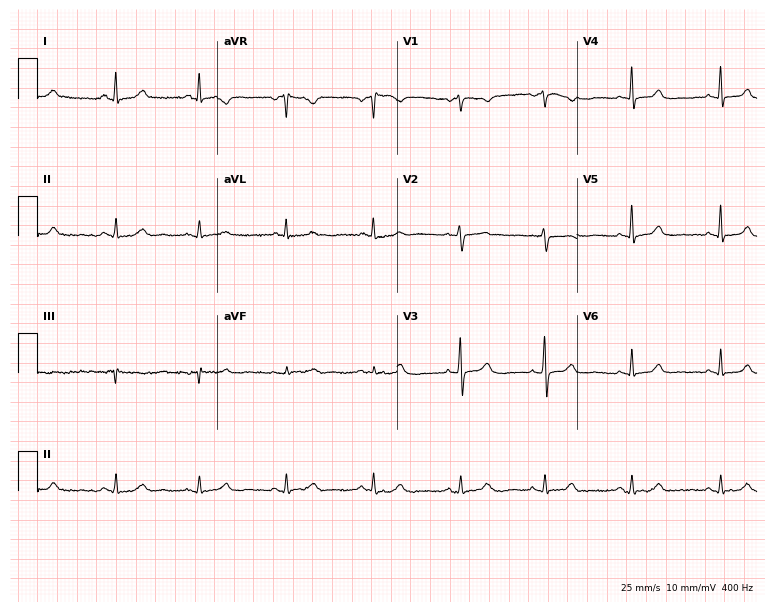
ECG — an 84-year-old woman. Labelled as a normal ECG.